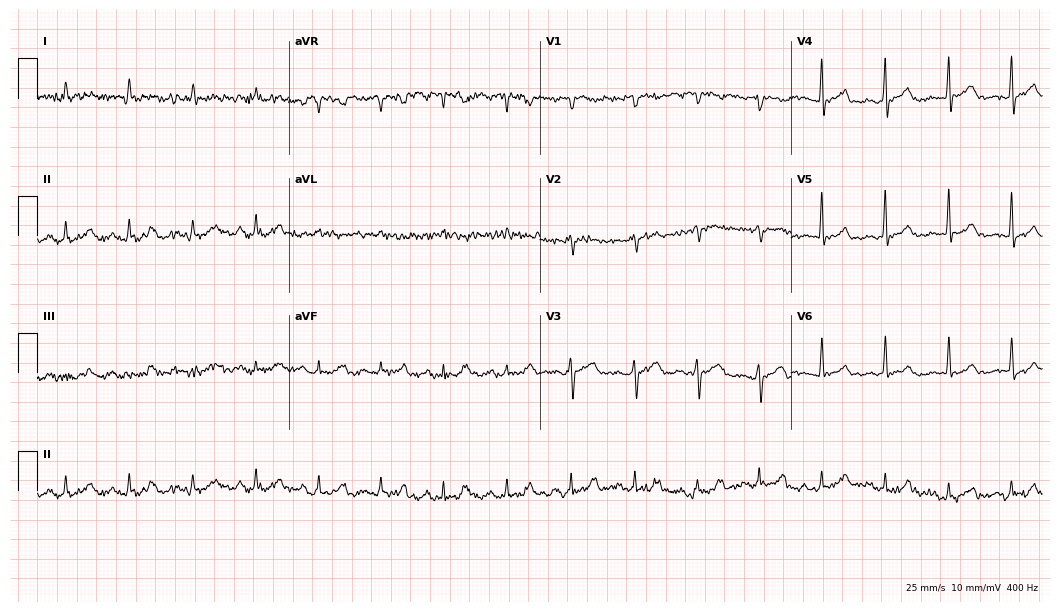
12-lead ECG (10.2-second recording at 400 Hz) from a man, 71 years old. Screened for six findings — first-degree AV block, right bundle branch block, left bundle branch block, sinus bradycardia, atrial fibrillation, sinus tachycardia — none is recorded. Findings outside these six are not listed.